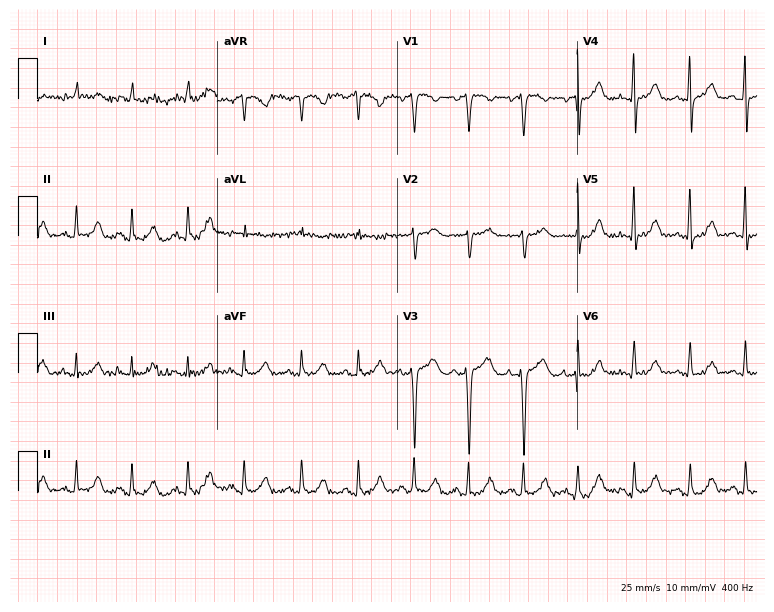
ECG — a 43-year-old woman. Findings include sinus tachycardia (a sinus rate of 100 beats per minute or more).